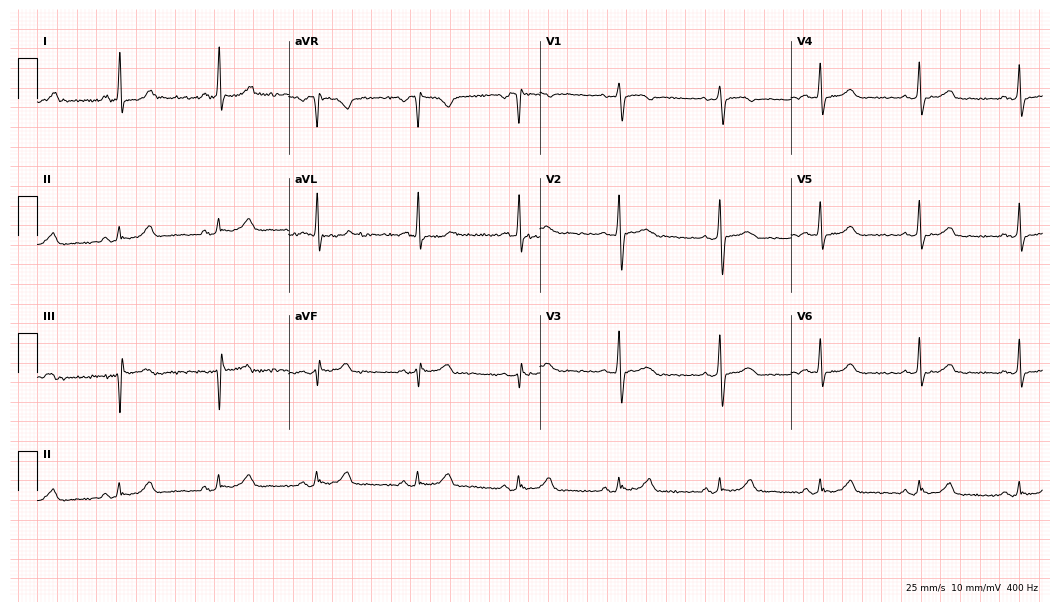
ECG (10.2-second recording at 400 Hz) — a woman, 46 years old. Screened for six findings — first-degree AV block, right bundle branch block (RBBB), left bundle branch block (LBBB), sinus bradycardia, atrial fibrillation (AF), sinus tachycardia — none is recorded. Findings outside these six are not listed.